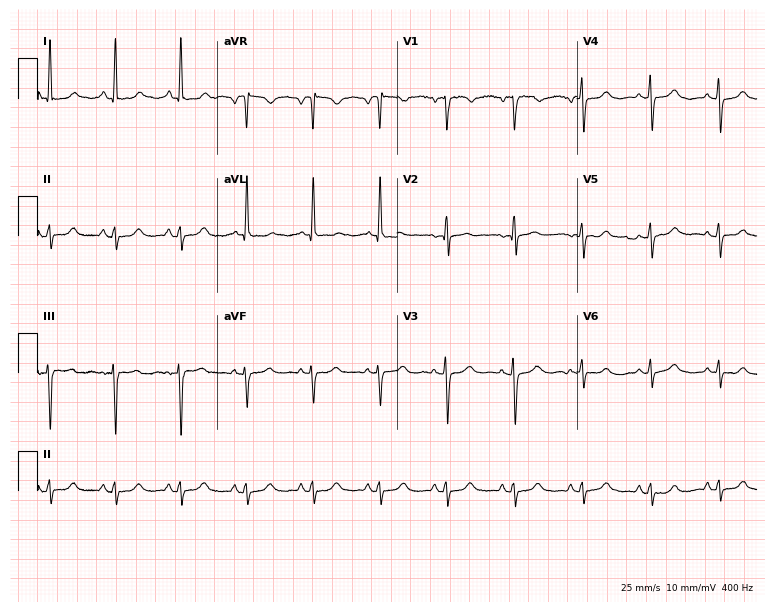
12-lead ECG from an 84-year-old woman (7.3-second recording at 400 Hz). No first-degree AV block, right bundle branch block, left bundle branch block, sinus bradycardia, atrial fibrillation or sinus tachycardia recorded for this tracing.